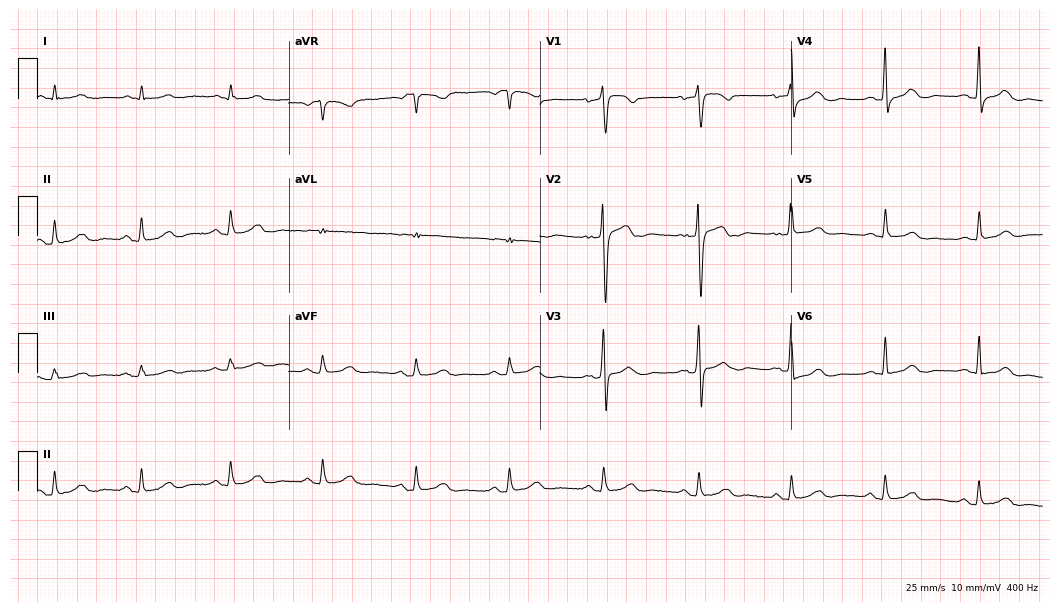
Standard 12-lead ECG recorded from a 68-year-old female patient (10.2-second recording at 400 Hz). None of these six findings is recorded: first-degree AV block, right bundle branch block, left bundle branch block, sinus bradycardia, atrial fibrillation, sinus tachycardia.